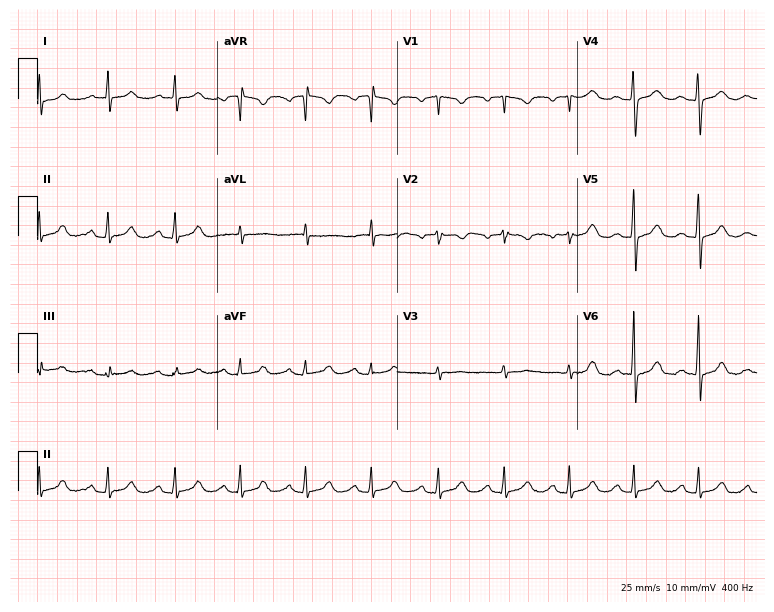
12-lead ECG from a 36-year-old woman. No first-degree AV block, right bundle branch block (RBBB), left bundle branch block (LBBB), sinus bradycardia, atrial fibrillation (AF) or sinus tachycardia recorded for this tracing. Other findings, if any, are not listed.